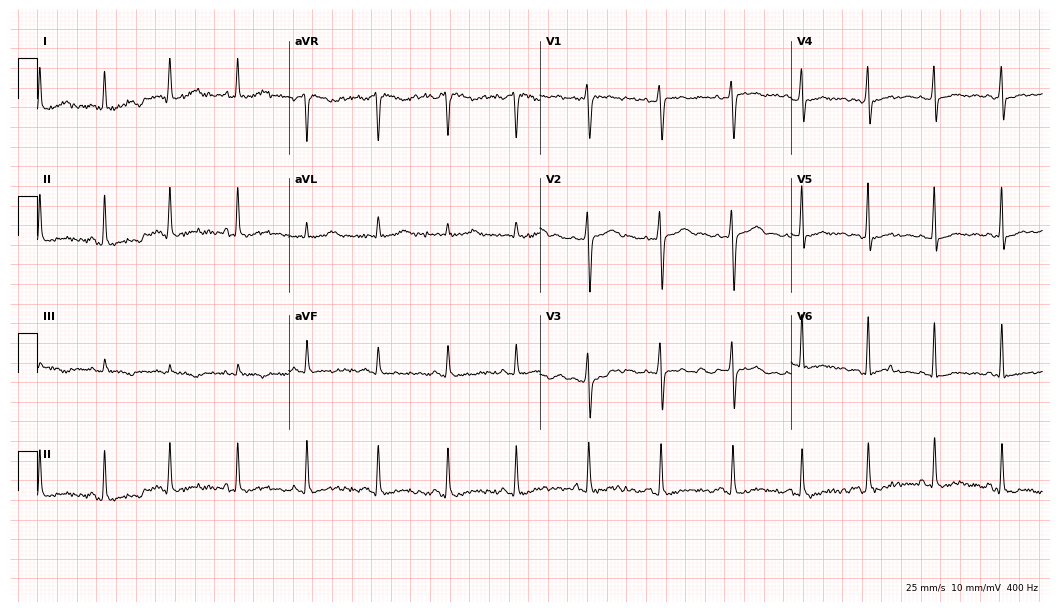
Electrocardiogram, a 49-year-old woman. Of the six screened findings (first-degree AV block, right bundle branch block (RBBB), left bundle branch block (LBBB), sinus bradycardia, atrial fibrillation (AF), sinus tachycardia), none is recorded.